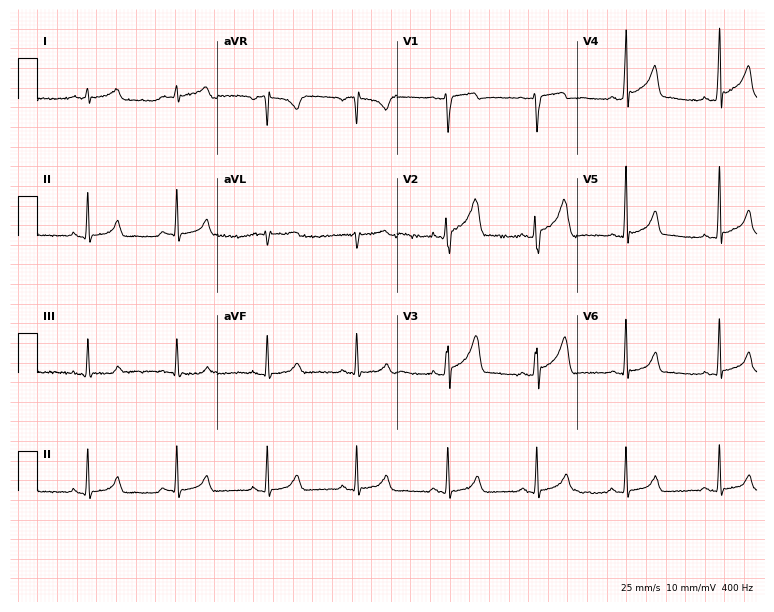
12-lead ECG from a 34-year-old man. Screened for six findings — first-degree AV block, right bundle branch block, left bundle branch block, sinus bradycardia, atrial fibrillation, sinus tachycardia — none is recorded. Other findings, if any, are not listed.